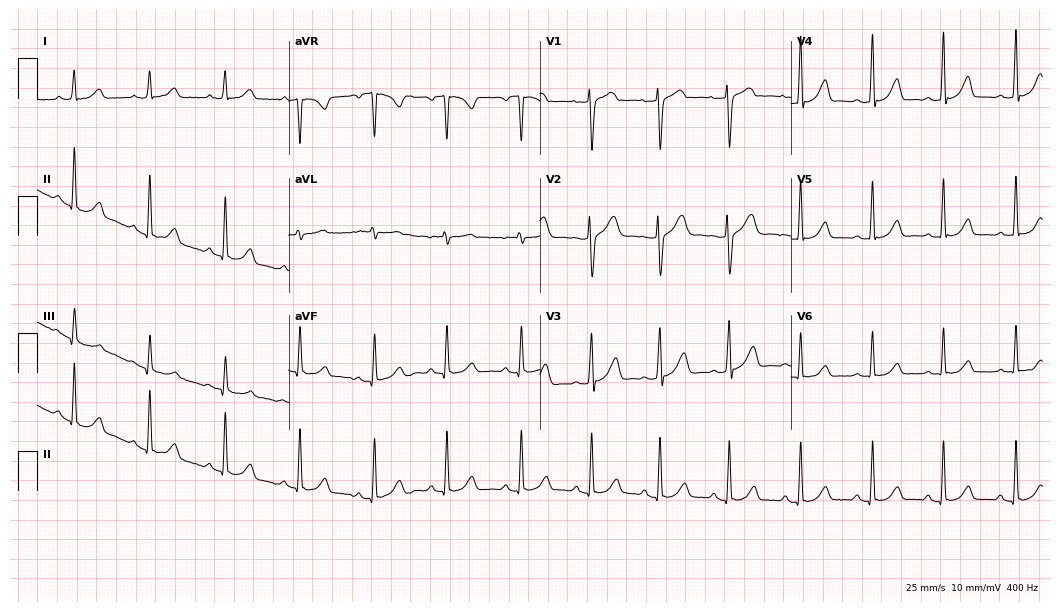
ECG — a female, 46 years old. Labelled as a normal ECG.